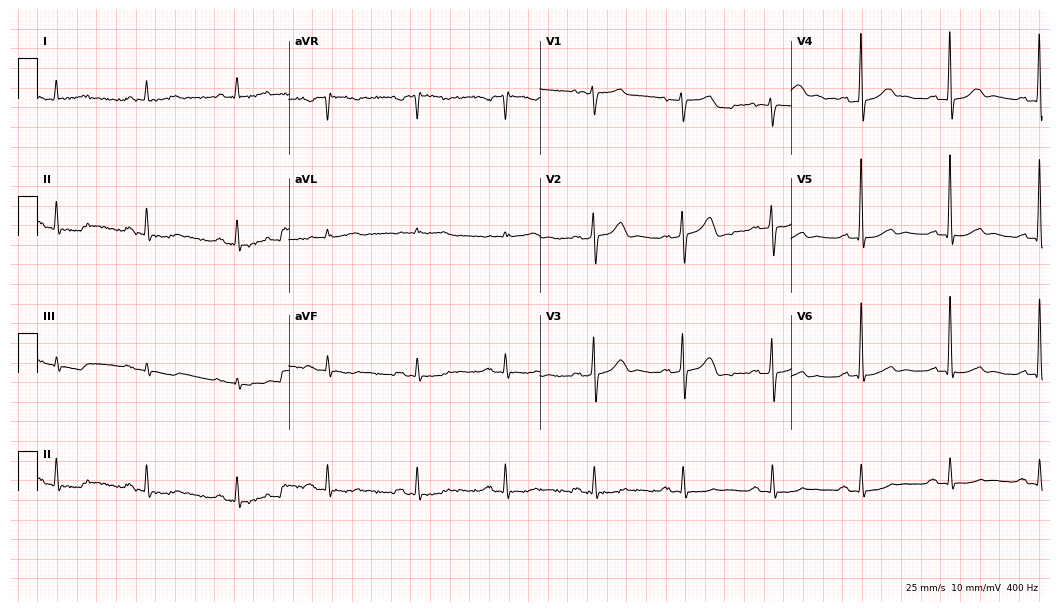
ECG (10.2-second recording at 400 Hz) — a man, 76 years old. Screened for six findings — first-degree AV block, right bundle branch block, left bundle branch block, sinus bradycardia, atrial fibrillation, sinus tachycardia — none is recorded.